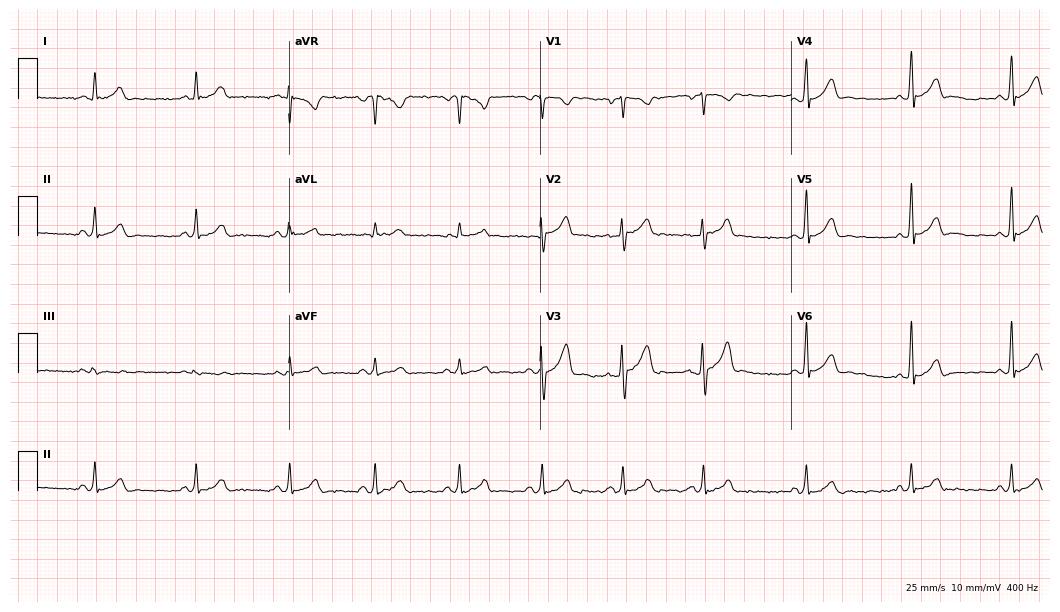
Electrocardiogram, a 37-year-old male. Overall reading on record: normal ECG.